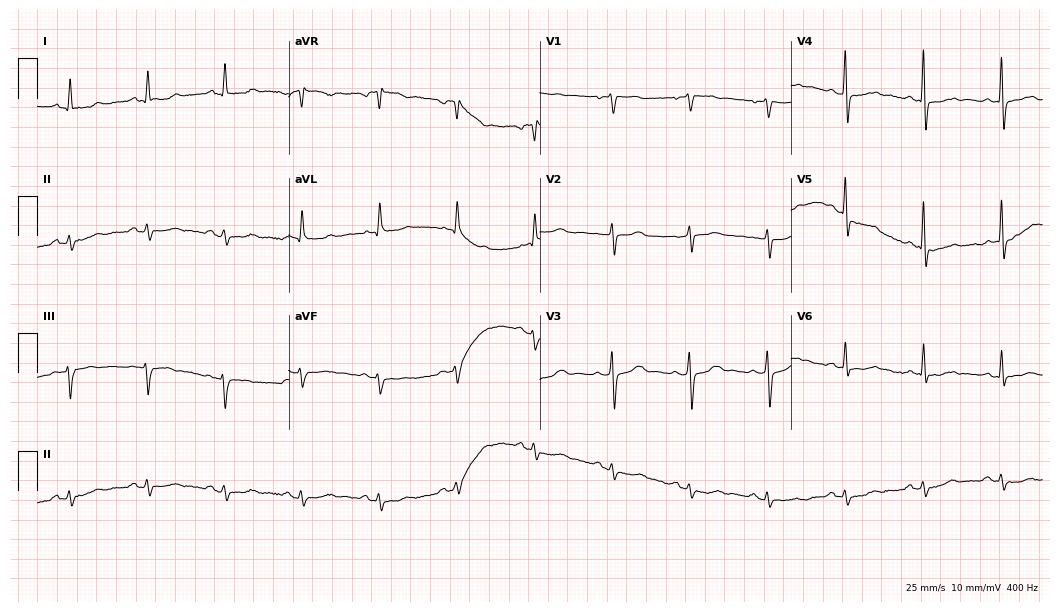
12-lead ECG from a 77-year-old woman. Labelled as a normal ECG.